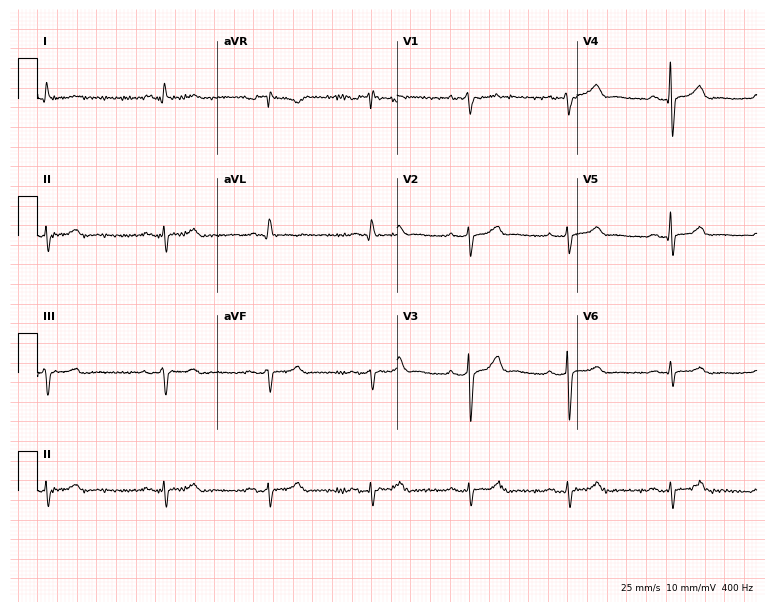
Standard 12-lead ECG recorded from a man, 66 years old. None of these six findings is recorded: first-degree AV block, right bundle branch block (RBBB), left bundle branch block (LBBB), sinus bradycardia, atrial fibrillation (AF), sinus tachycardia.